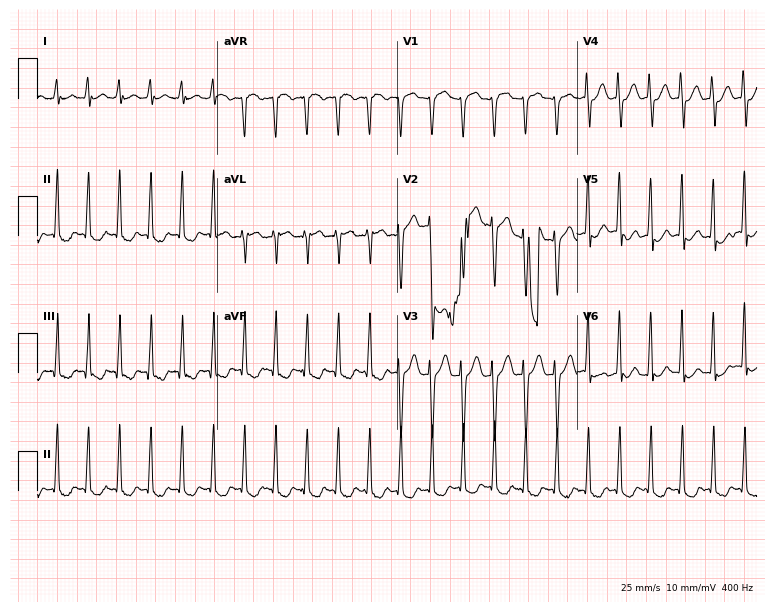
12-lead ECG from a female, 45 years old (7.3-second recording at 400 Hz). No first-degree AV block, right bundle branch block, left bundle branch block, sinus bradycardia, atrial fibrillation or sinus tachycardia recorded for this tracing.